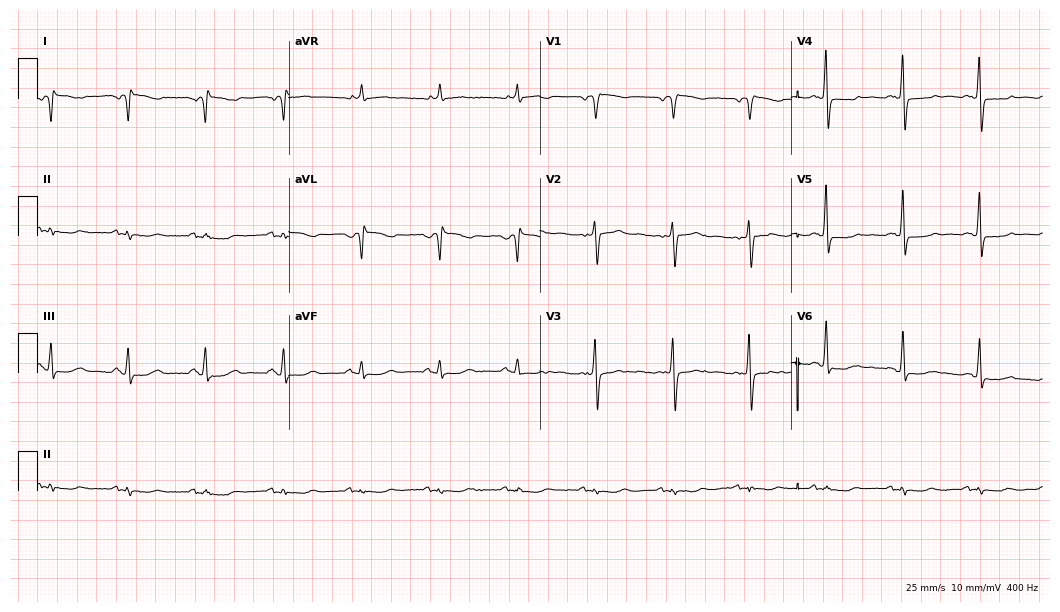
12-lead ECG from a 58-year-old female. Screened for six findings — first-degree AV block, right bundle branch block (RBBB), left bundle branch block (LBBB), sinus bradycardia, atrial fibrillation (AF), sinus tachycardia — none is recorded.